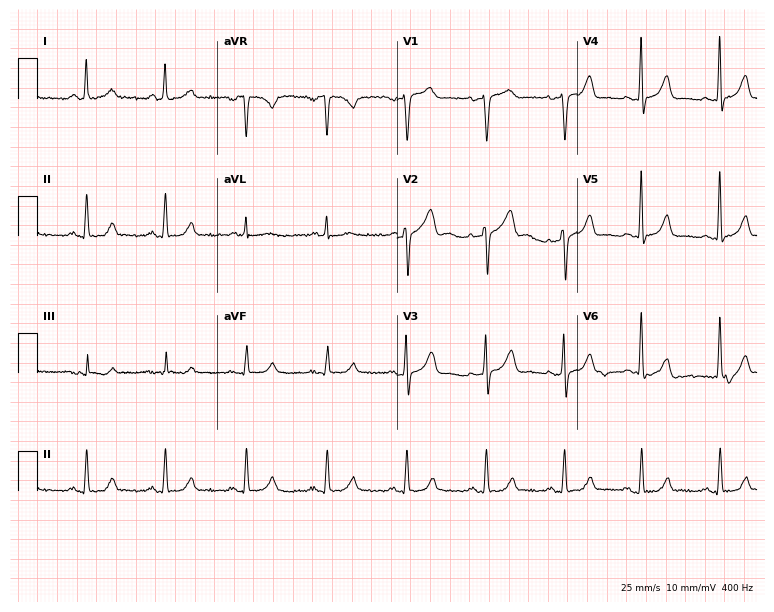
Resting 12-lead electrocardiogram (7.3-second recording at 400 Hz). Patient: a woman, 51 years old. Read as a normal ECG.